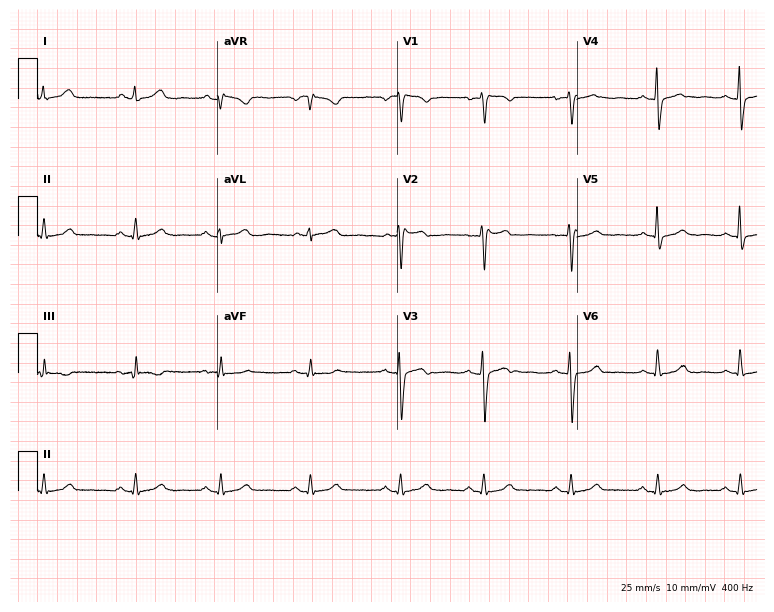
12-lead ECG from a female, 34 years old. Labelled as a normal ECG.